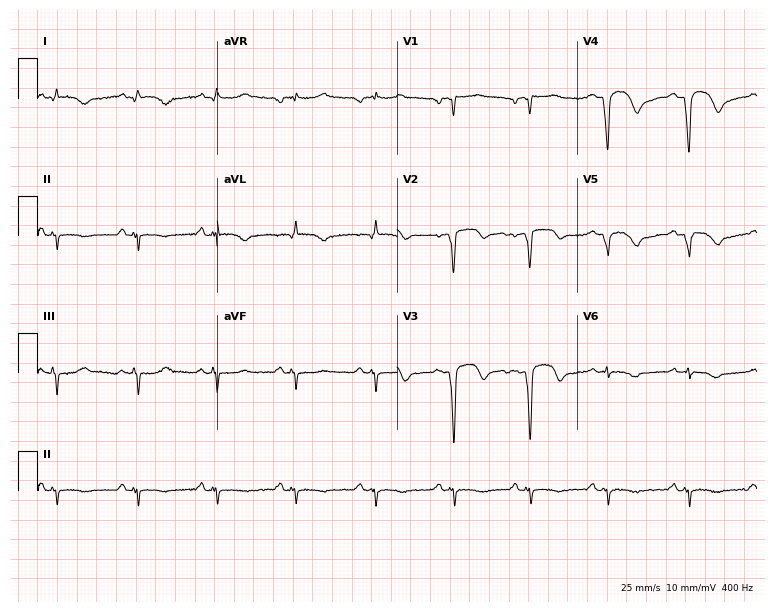
Resting 12-lead electrocardiogram. Patient: a 66-year-old male. None of these six findings is recorded: first-degree AV block, right bundle branch block, left bundle branch block, sinus bradycardia, atrial fibrillation, sinus tachycardia.